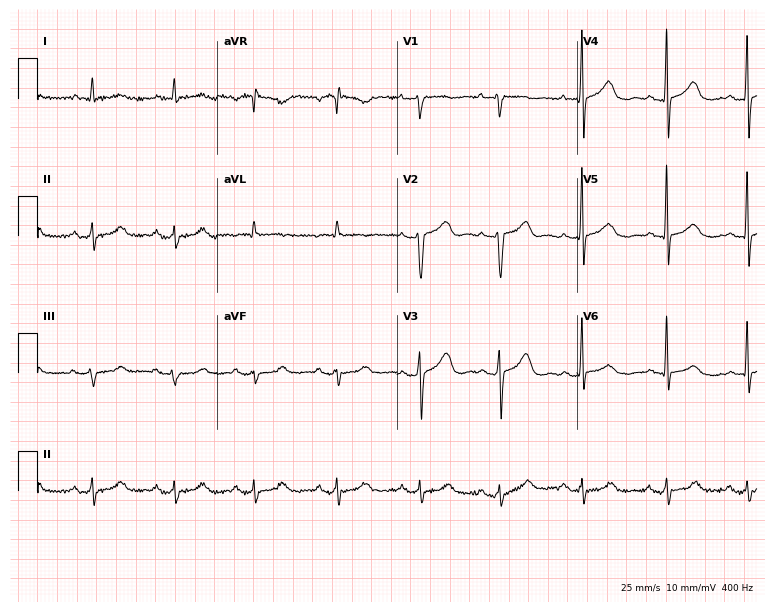
Resting 12-lead electrocardiogram (7.3-second recording at 400 Hz). Patient: a female, 67 years old. None of these six findings is recorded: first-degree AV block, right bundle branch block, left bundle branch block, sinus bradycardia, atrial fibrillation, sinus tachycardia.